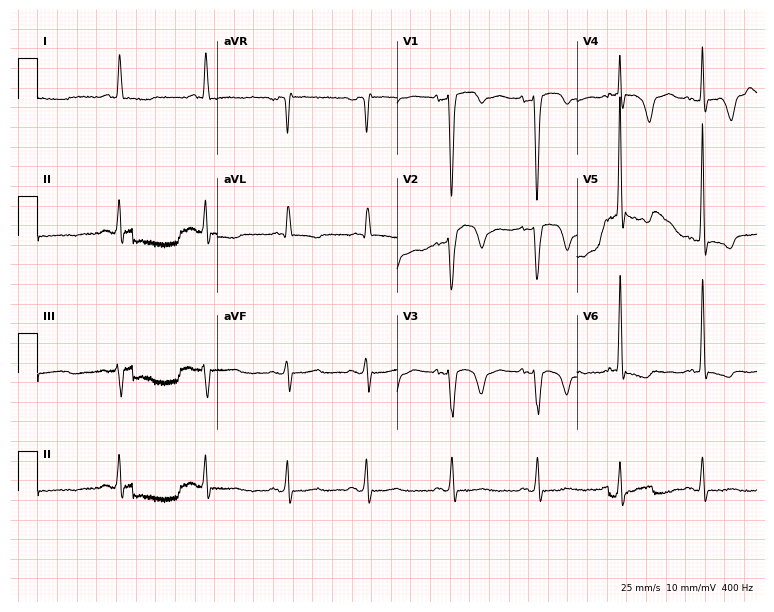
12-lead ECG (7.3-second recording at 400 Hz) from a female, 70 years old. Labelled as a normal ECG.